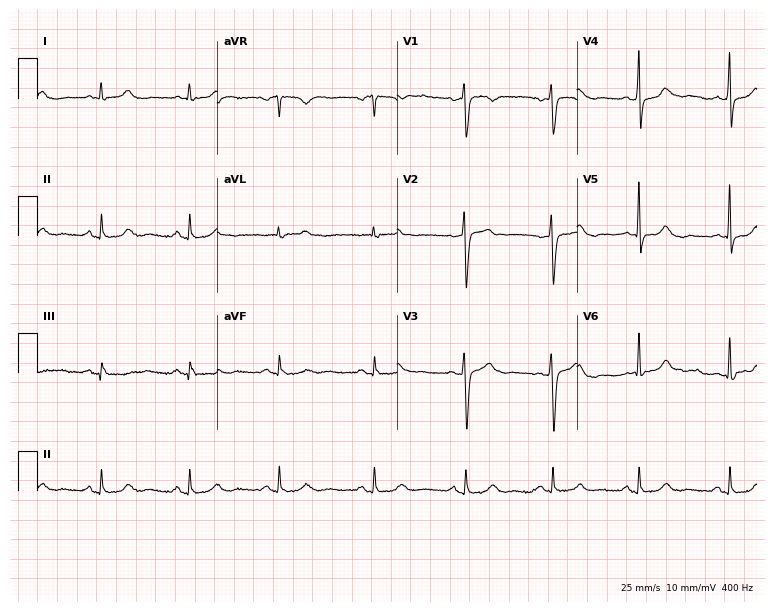
ECG — a 41-year-old male. Screened for six findings — first-degree AV block, right bundle branch block (RBBB), left bundle branch block (LBBB), sinus bradycardia, atrial fibrillation (AF), sinus tachycardia — none is recorded.